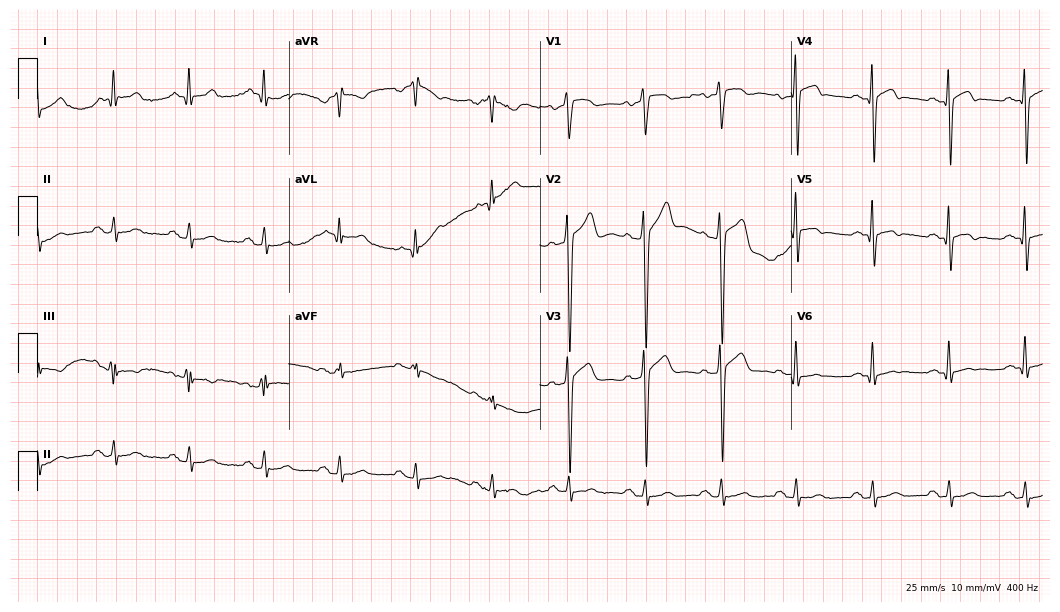
12-lead ECG from a 41-year-old male. No first-degree AV block, right bundle branch block, left bundle branch block, sinus bradycardia, atrial fibrillation or sinus tachycardia recorded for this tracing. Only these six findings were labelled.